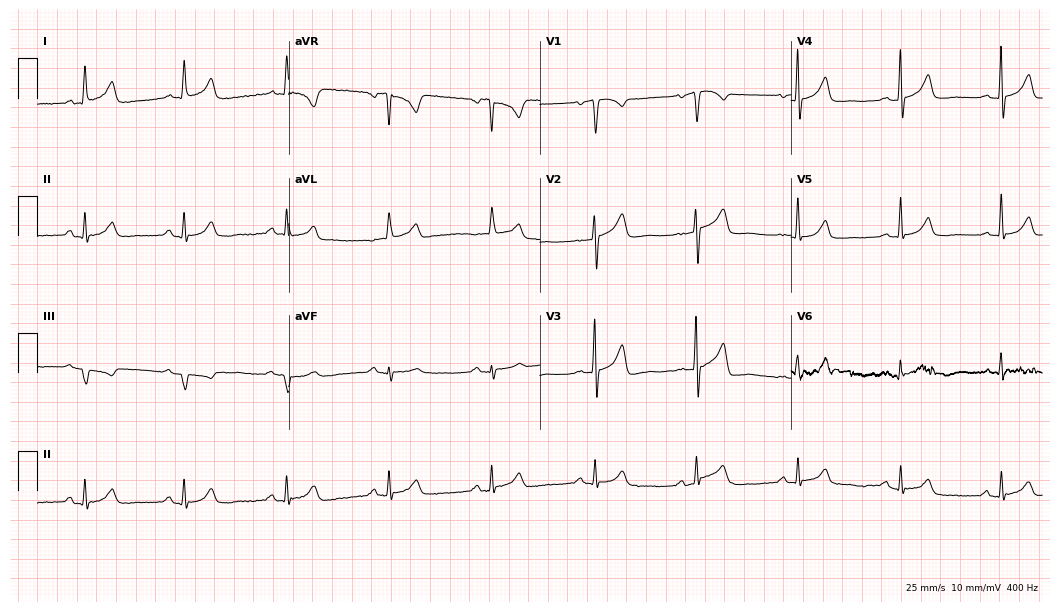
Standard 12-lead ECG recorded from a female patient, 70 years old. Read as a normal ECG.